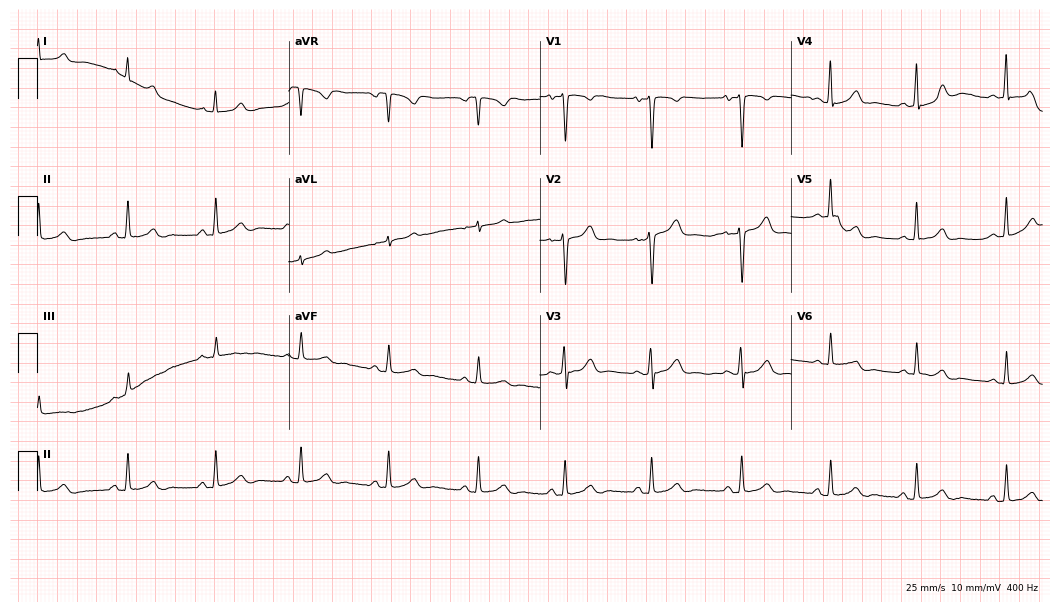
ECG — a woman, 29 years old. Labelled as a normal ECG.